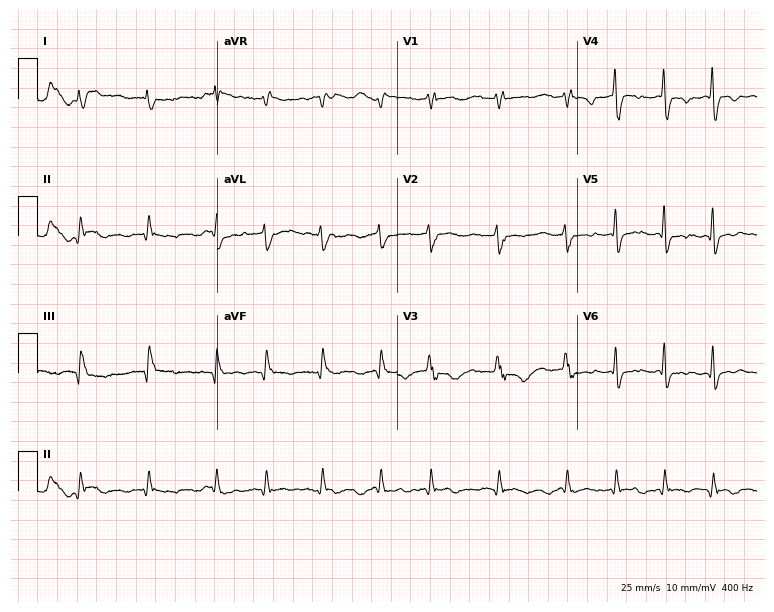
ECG — an 83-year-old female patient. Findings include atrial fibrillation.